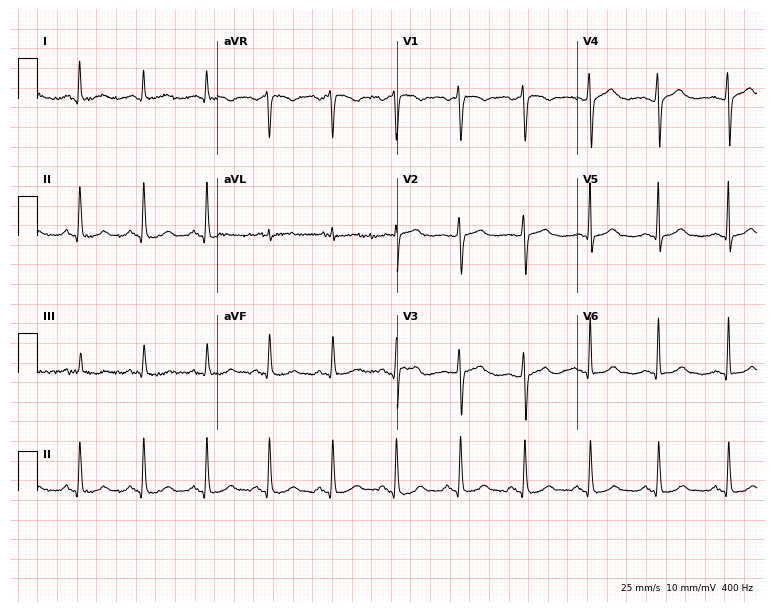
ECG (7.3-second recording at 400 Hz) — a woman, 50 years old. Screened for six findings — first-degree AV block, right bundle branch block (RBBB), left bundle branch block (LBBB), sinus bradycardia, atrial fibrillation (AF), sinus tachycardia — none is recorded. Findings outside these six are not listed.